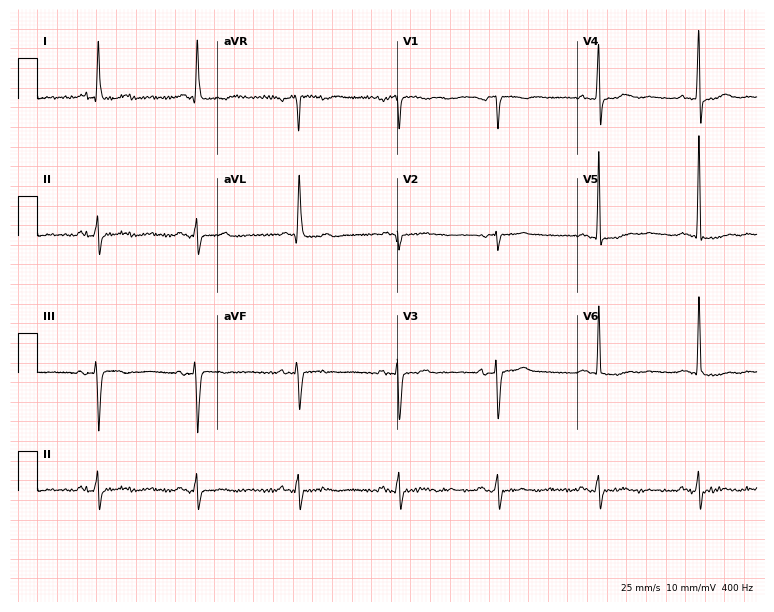
Standard 12-lead ECG recorded from an 83-year-old female (7.3-second recording at 400 Hz). None of these six findings is recorded: first-degree AV block, right bundle branch block, left bundle branch block, sinus bradycardia, atrial fibrillation, sinus tachycardia.